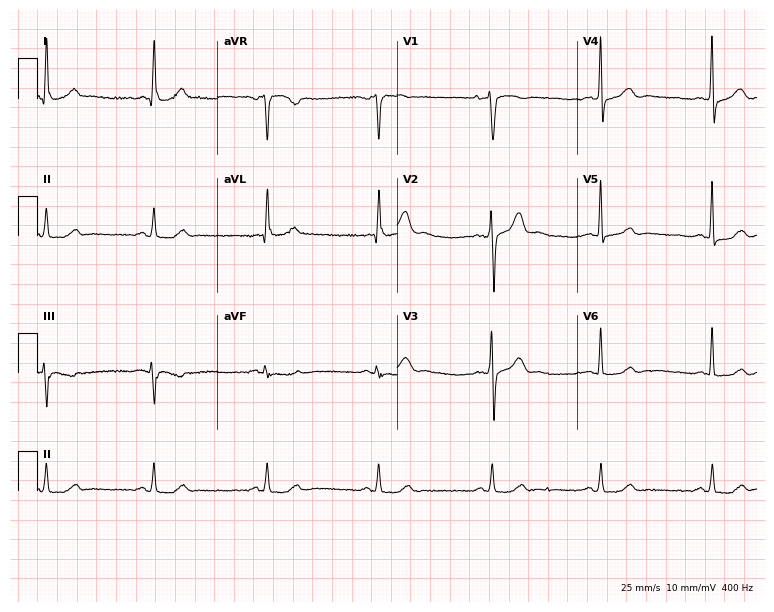
Standard 12-lead ECG recorded from a man, 67 years old (7.3-second recording at 400 Hz). Read as a normal ECG.